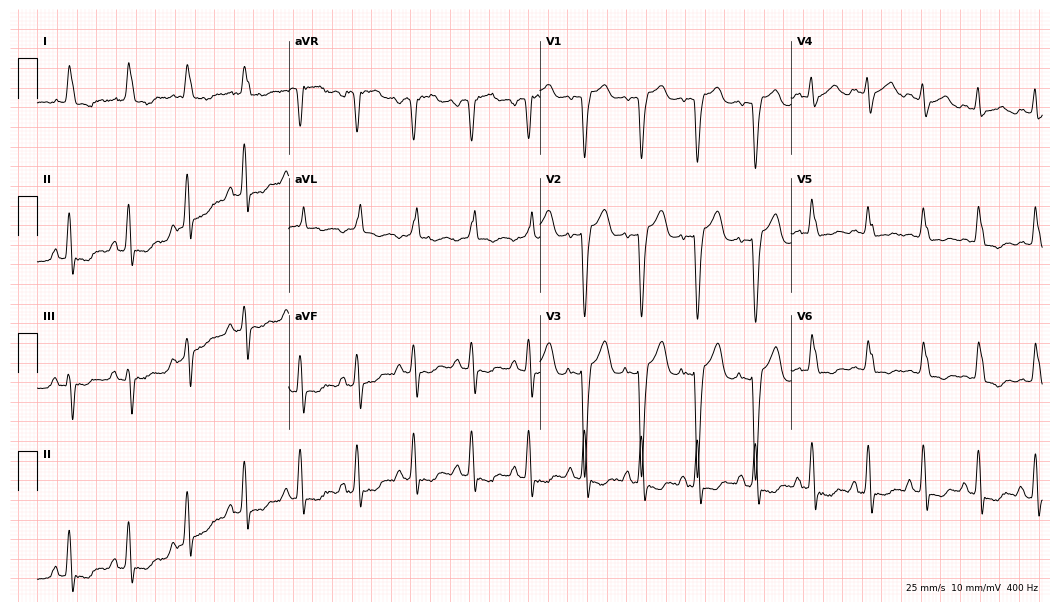
Standard 12-lead ECG recorded from a 76-year-old female (10.2-second recording at 400 Hz). The tracing shows left bundle branch block.